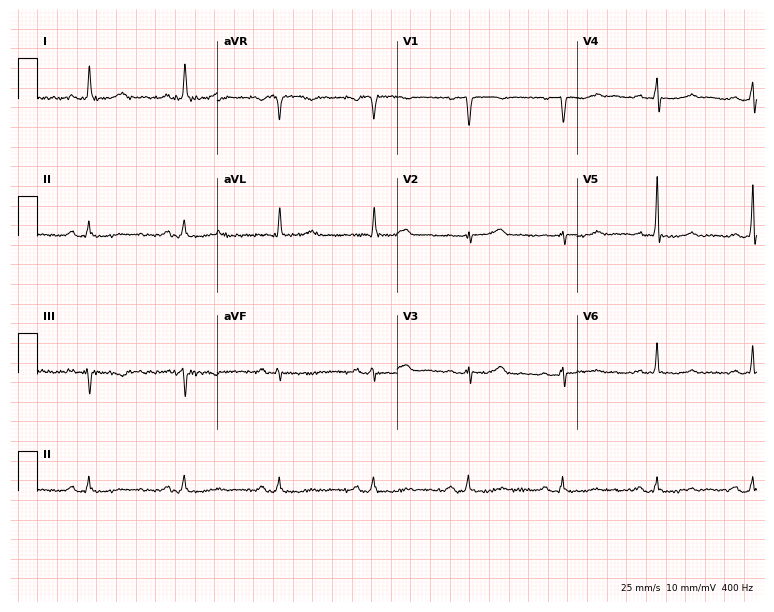
12-lead ECG from a female patient, 58 years old (7.3-second recording at 400 Hz). No first-degree AV block, right bundle branch block (RBBB), left bundle branch block (LBBB), sinus bradycardia, atrial fibrillation (AF) or sinus tachycardia recorded for this tracing.